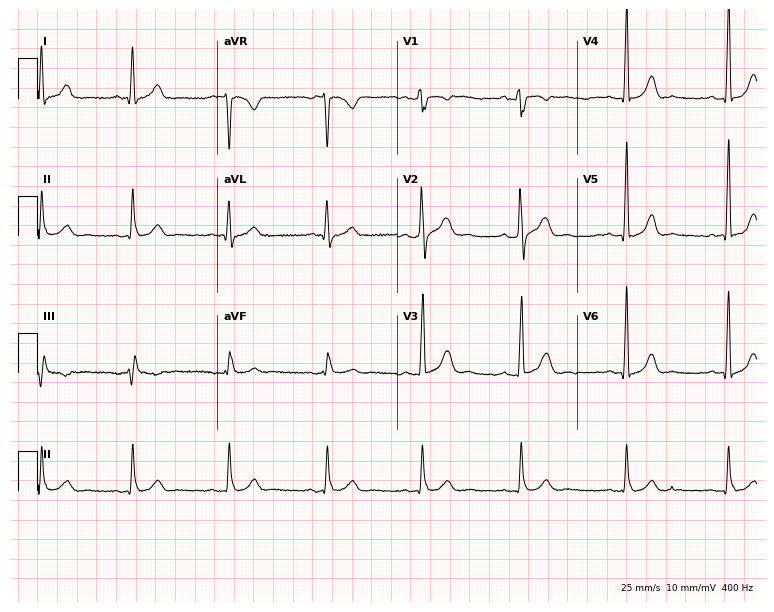
12-lead ECG from a 33-year-old man (7.3-second recording at 400 Hz). No first-degree AV block, right bundle branch block, left bundle branch block, sinus bradycardia, atrial fibrillation or sinus tachycardia recorded for this tracing. Findings outside these six are not listed.